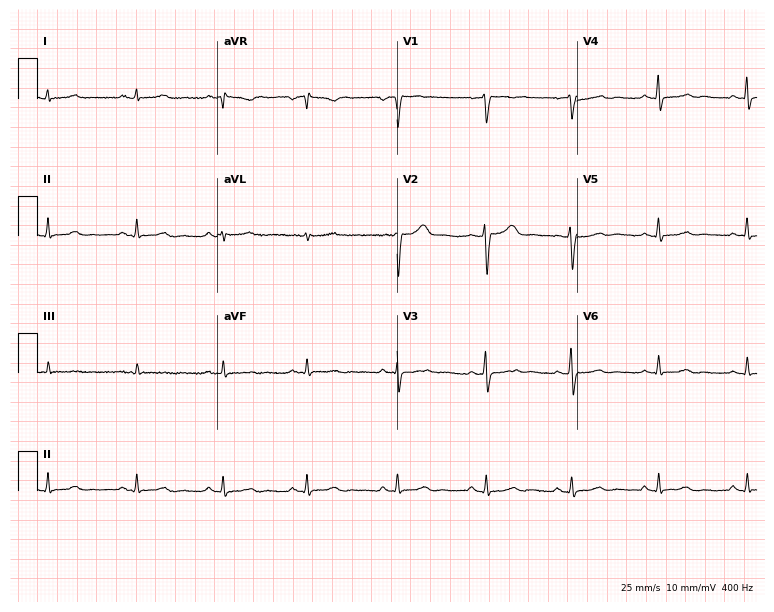
Resting 12-lead electrocardiogram. Patient: a 33-year-old female. None of these six findings is recorded: first-degree AV block, right bundle branch block, left bundle branch block, sinus bradycardia, atrial fibrillation, sinus tachycardia.